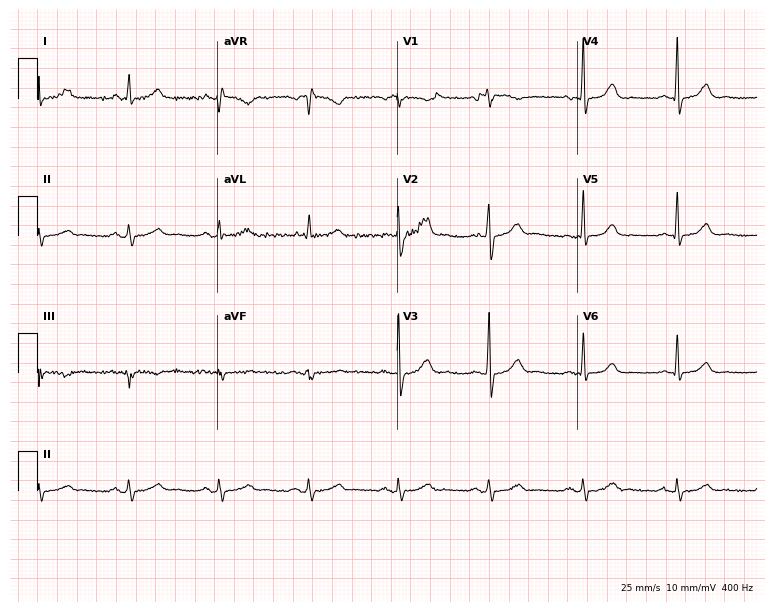
Electrocardiogram, a male patient, 71 years old. Overall reading on record: normal ECG.